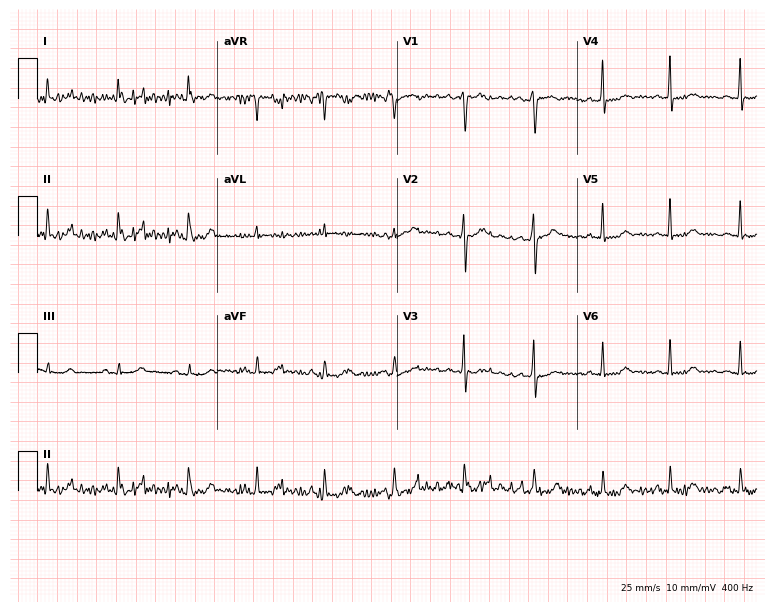
Standard 12-lead ECG recorded from a 45-year-old female patient. None of these six findings is recorded: first-degree AV block, right bundle branch block, left bundle branch block, sinus bradycardia, atrial fibrillation, sinus tachycardia.